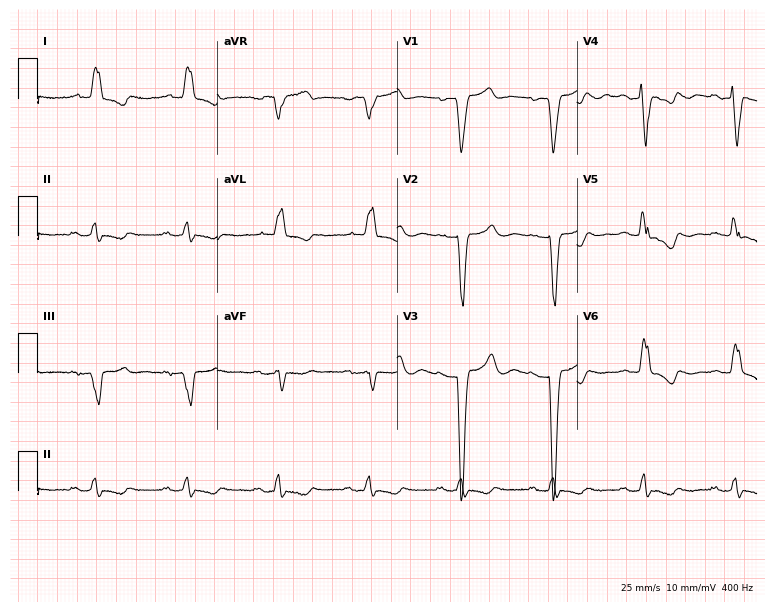
Electrocardiogram, a female patient, 81 years old. Interpretation includes left bundle branch block (LBBB).